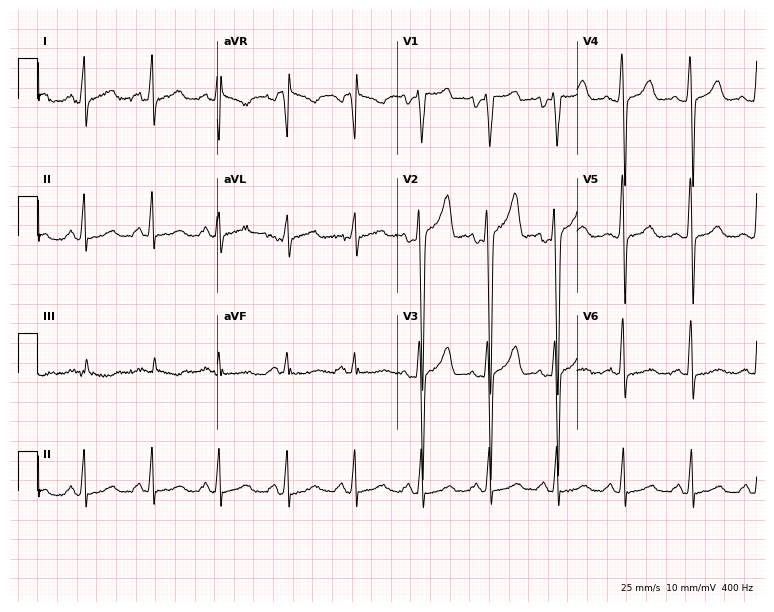
Resting 12-lead electrocardiogram (7.3-second recording at 400 Hz). Patient: a 28-year-old male. None of these six findings is recorded: first-degree AV block, right bundle branch block, left bundle branch block, sinus bradycardia, atrial fibrillation, sinus tachycardia. Findings outside these six are not listed.